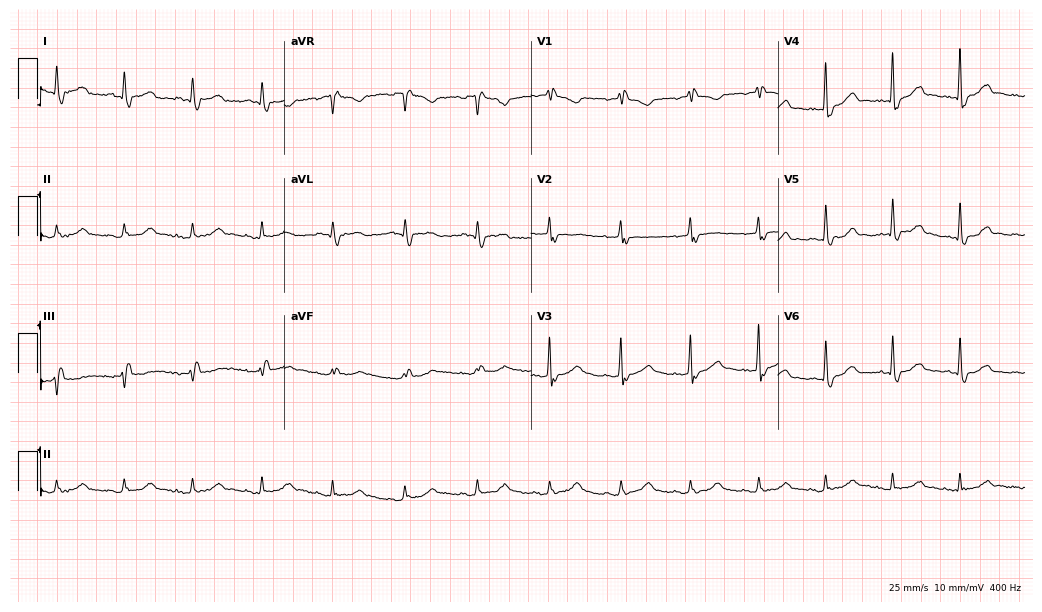
Electrocardiogram, a 59-year-old woman. Of the six screened findings (first-degree AV block, right bundle branch block, left bundle branch block, sinus bradycardia, atrial fibrillation, sinus tachycardia), none is recorded. Findings outside these six are not listed.